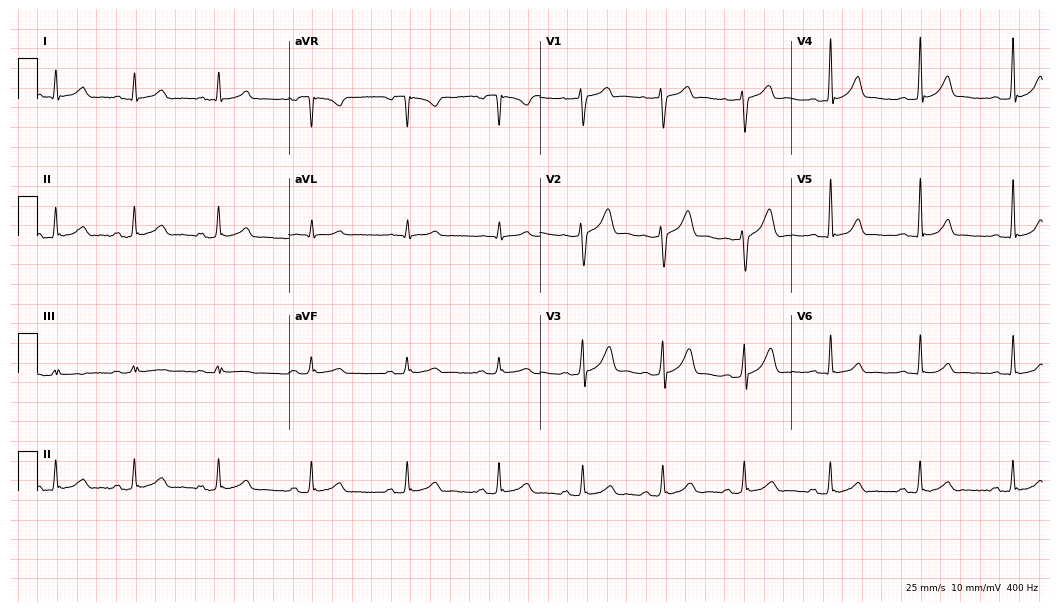
Standard 12-lead ECG recorded from a male, 24 years old (10.2-second recording at 400 Hz). Read as a normal ECG.